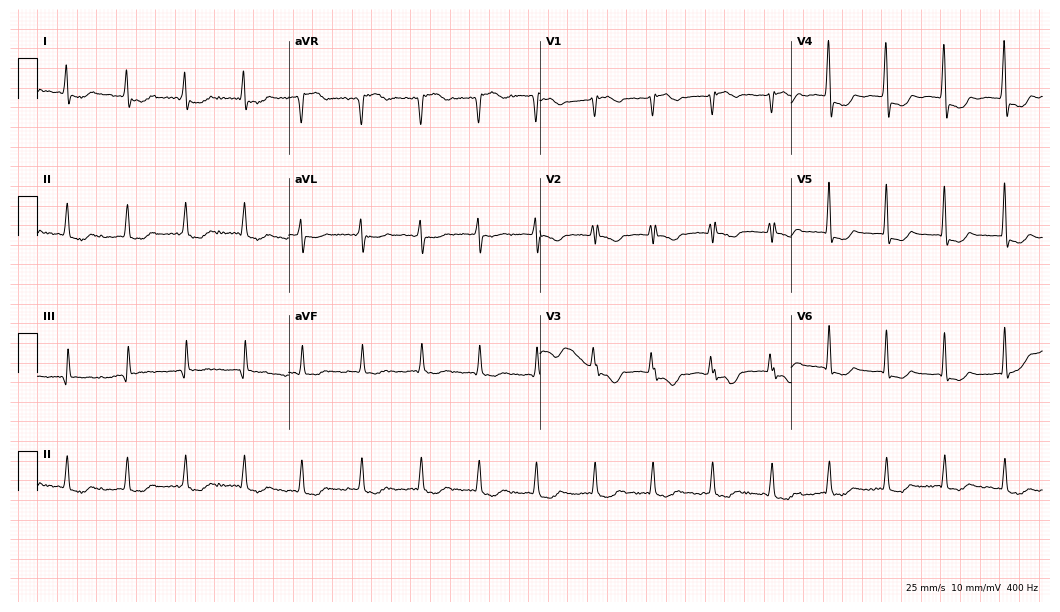
ECG (10.2-second recording at 400 Hz) — a female, 60 years old. Findings include atrial fibrillation.